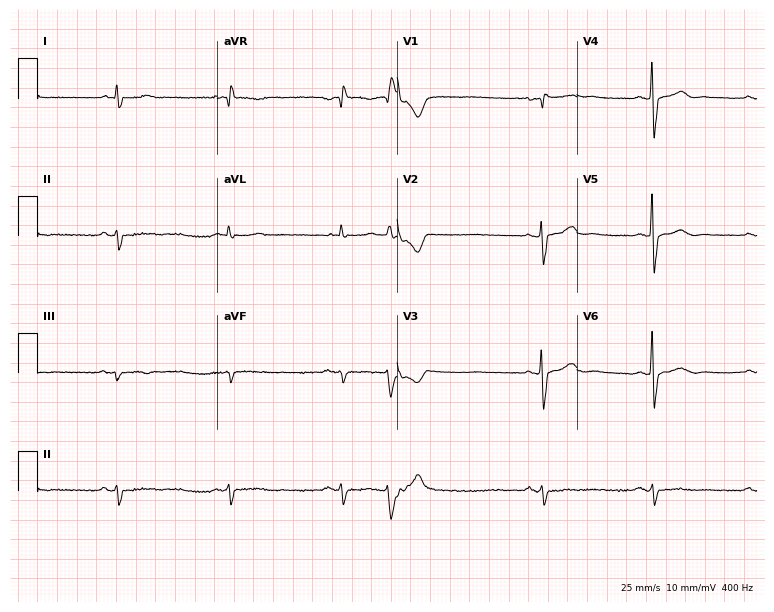
Electrocardiogram (7.3-second recording at 400 Hz), a male patient, 72 years old. Of the six screened findings (first-degree AV block, right bundle branch block, left bundle branch block, sinus bradycardia, atrial fibrillation, sinus tachycardia), none is recorded. Only these six findings were labelled.